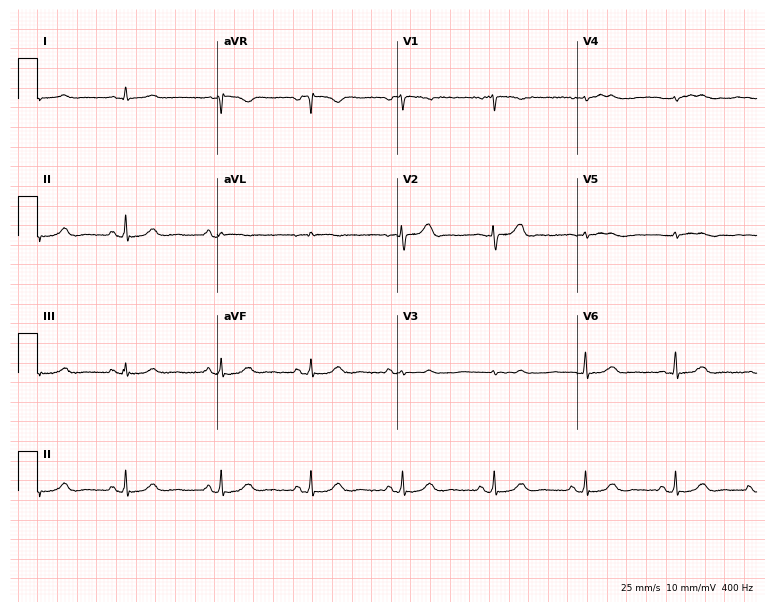
Resting 12-lead electrocardiogram (7.3-second recording at 400 Hz). Patient: a 40-year-old woman. None of these six findings is recorded: first-degree AV block, right bundle branch block, left bundle branch block, sinus bradycardia, atrial fibrillation, sinus tachycardia.